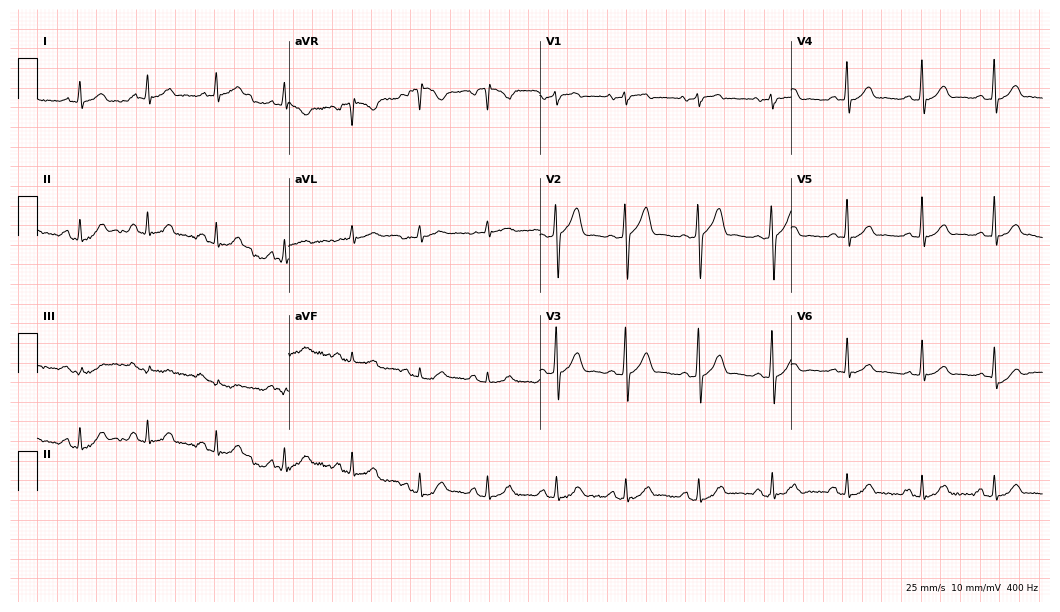
12-lead ECG from a 76-year-old male. Recorded interpretation: within normal limits.